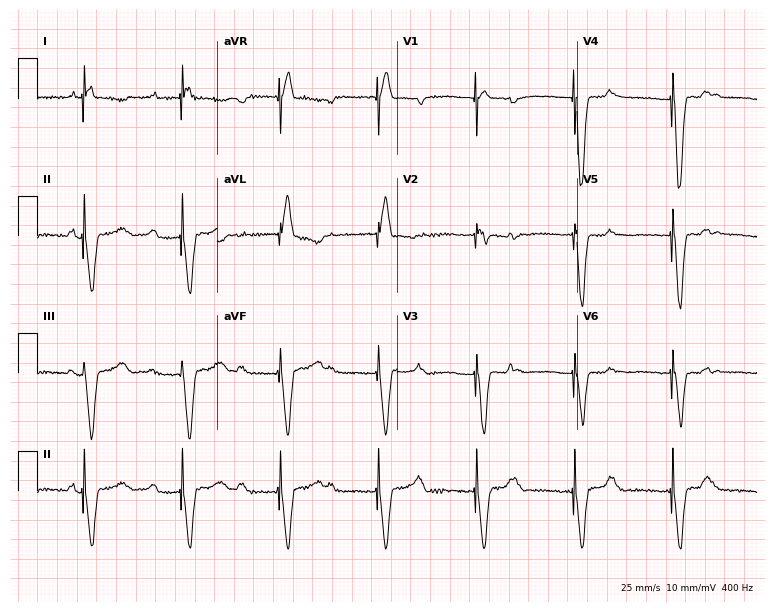
12-lead ECG from a male patient, 54 years old (7.3-second recording at 400 Hz). No first-degree AV block, right bundle branch block, left bundle branch block, sinus bradycardia, atrial fibrillation or sinus tachycardia recorded for this tracing. Other findings, if any, are not listed.